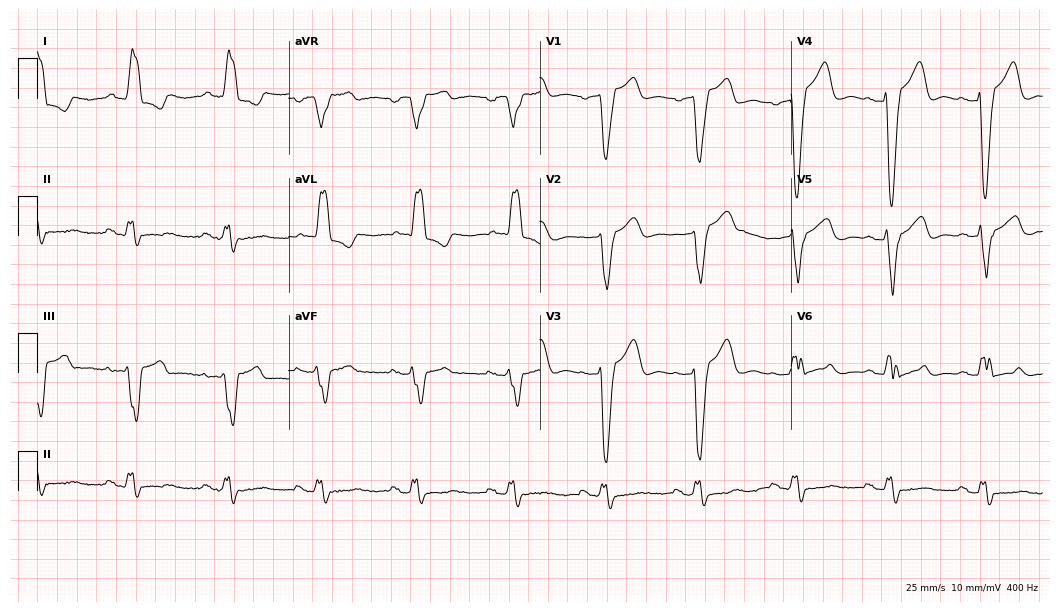
Standard 12-lead ECG recorded from a female patient, 65 years old. The tracing shows first-degree AV block, left bundle branch block (LBBB).